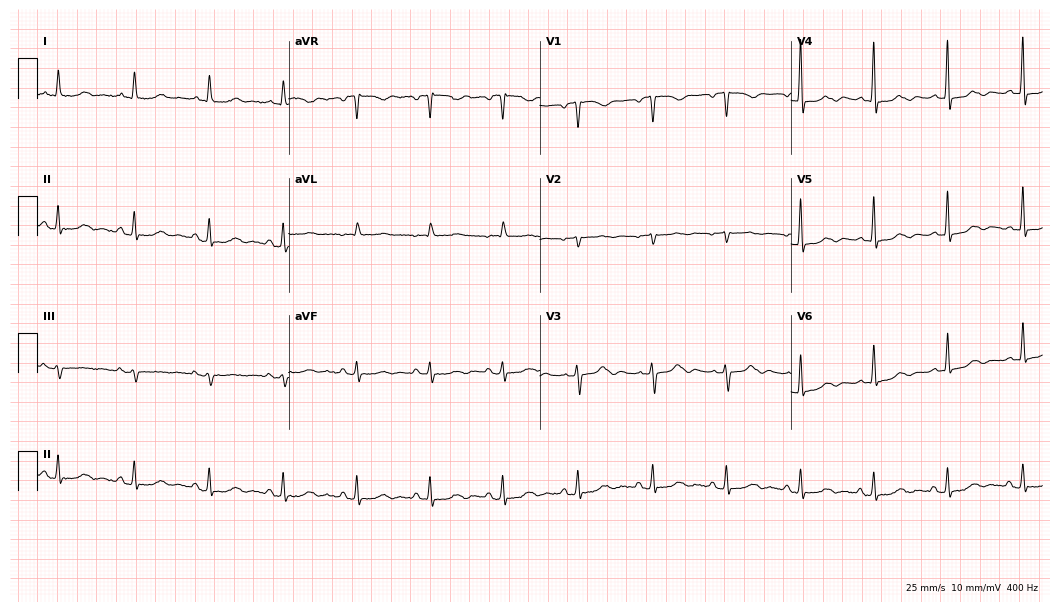
12-lead ECG from a 65-year-old female patient (10.2-second recording at 400 Hz). No first-degree AV block, right bundle branch block, left bundle branch block, sinus bradycardia, atrial fibrillation or sinus tachycardia recorded for this tracing.